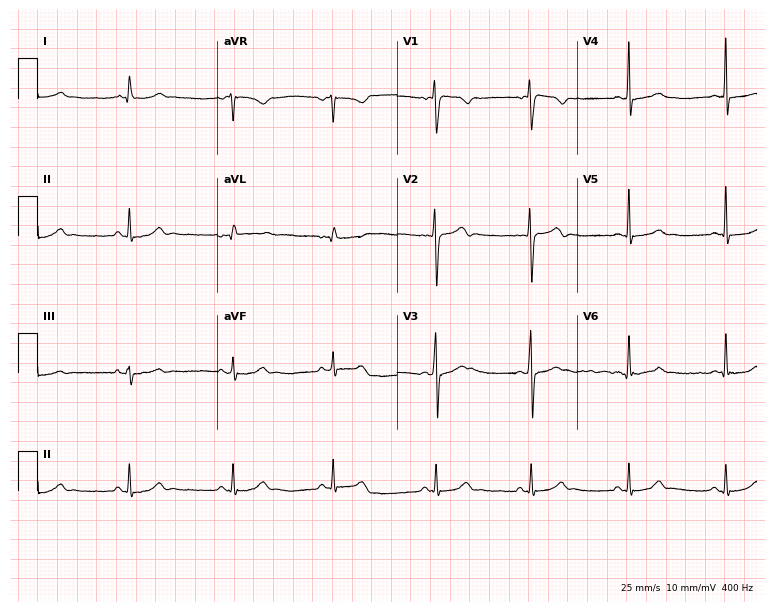
Electrocardiogram, a female patient, 23 years old. Overall reading on record: normal ECG.